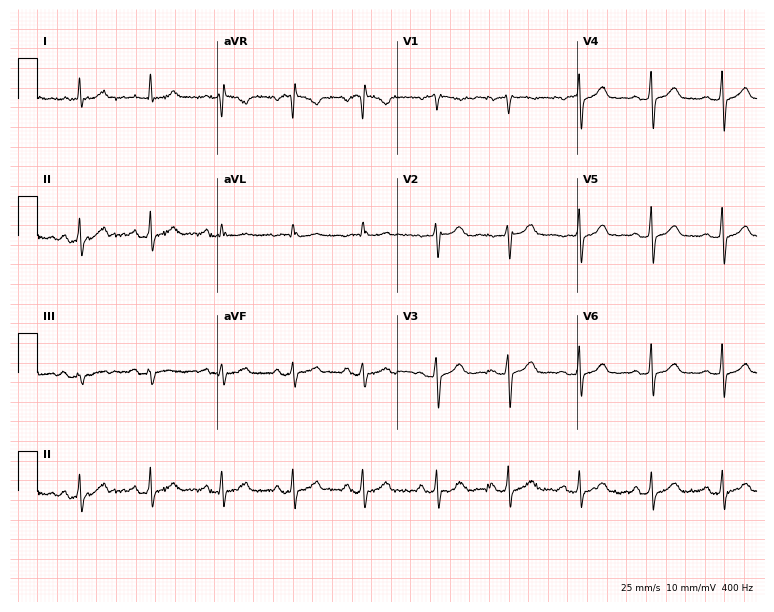
Electrocardiogram (7.3-second recording at 400 Hz), a woman, 63 years old. Overall reading on record: normal ECG.